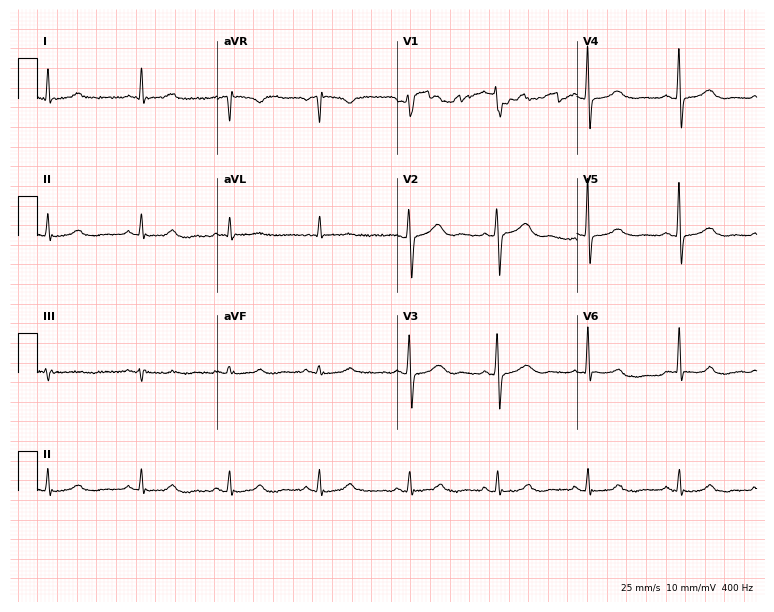
Electrocardiogram (7.3-second recording at 400 Hz), a 59-year-old female patient. Of the six screened findings (first-degree AV block, right bundle branch block, left bundle branch block, sinus bradycardia, atrial fibrillation, sinus tachycardia), none is recorded. Findings outside these six are not listed.